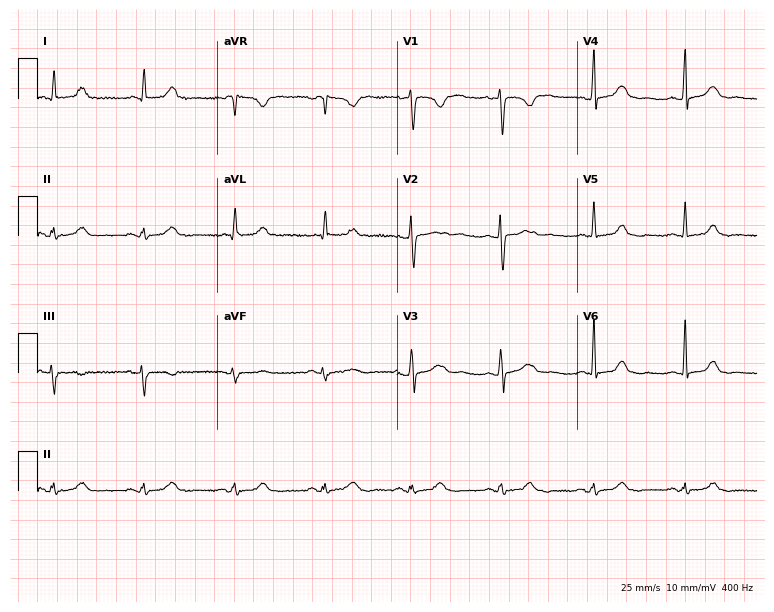
Electrocardiogram (7.3-second recording at 400 Hz), a woman, 39 years old. Overall reading on record: normal ECG.